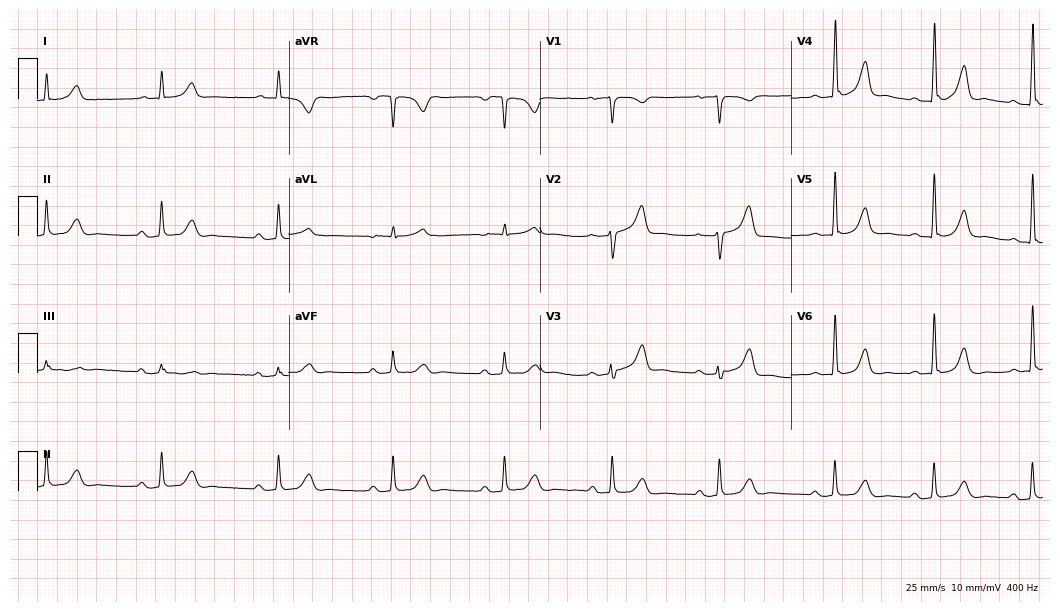
Resting 12-lead electrocardiogram (10.2-second recording at 400 Hz). Patient: a man, 73 years old. Read as a normal ECG.